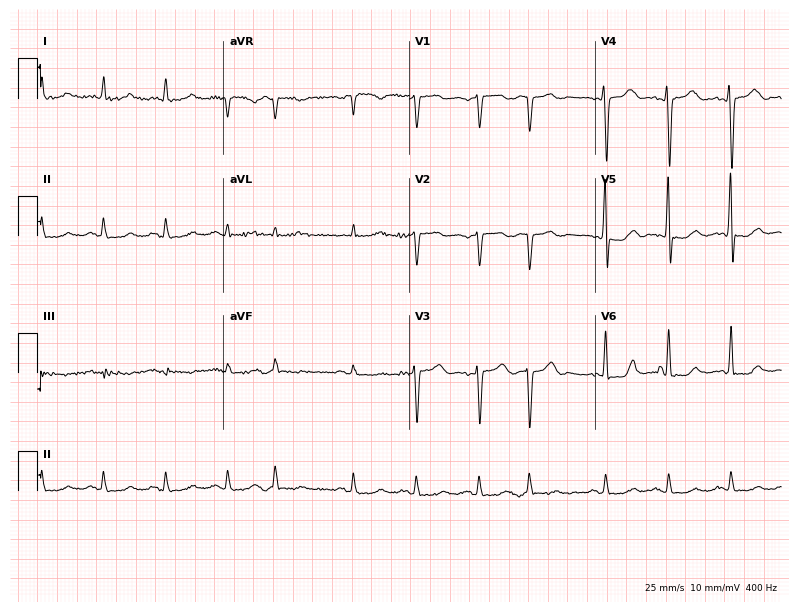
ECG (7.6-second recording at 400 Hz) — a male patient, 78 years old. Screened for six findings — first-degree AV block, right bundle branch block, left bundle branch block, sinus bradycardia, atrial fibrillation, sinus tachycardia — none is recorded. Other findings, if any, are not listed.